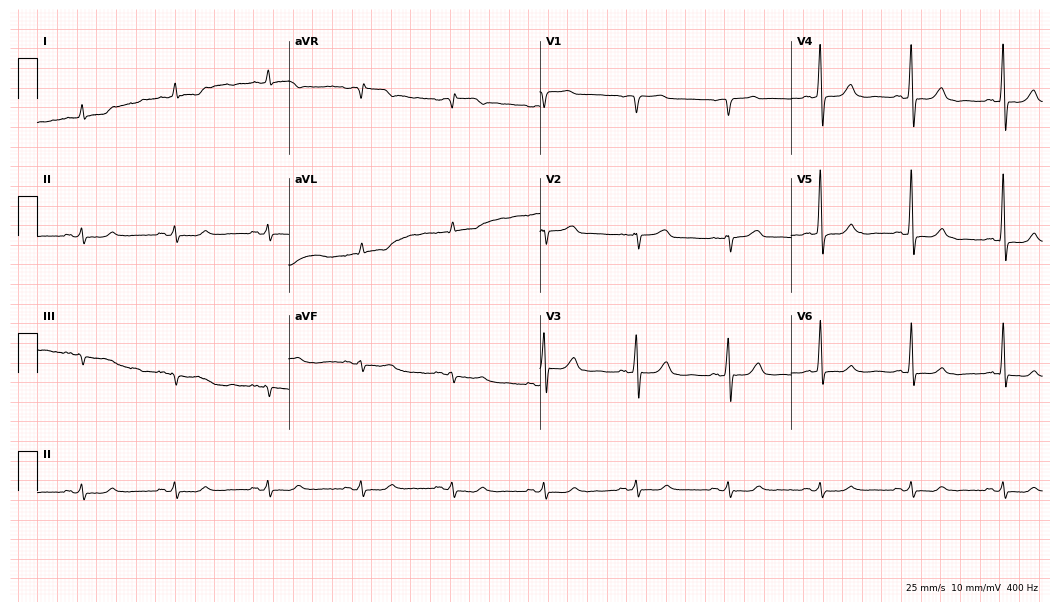
Standard 12-lead ECG recorded from a male patient, 65 years old (10.2-second recording at 400 Hz). None of these six findings is recorded: first-degree AV block, right bundle branch block (RBBB), left bundle branch block (LBBB), sinus bradycardia, atrial fibrillation (AF), sinus tachycardia. Other findings, if any, are not listed.